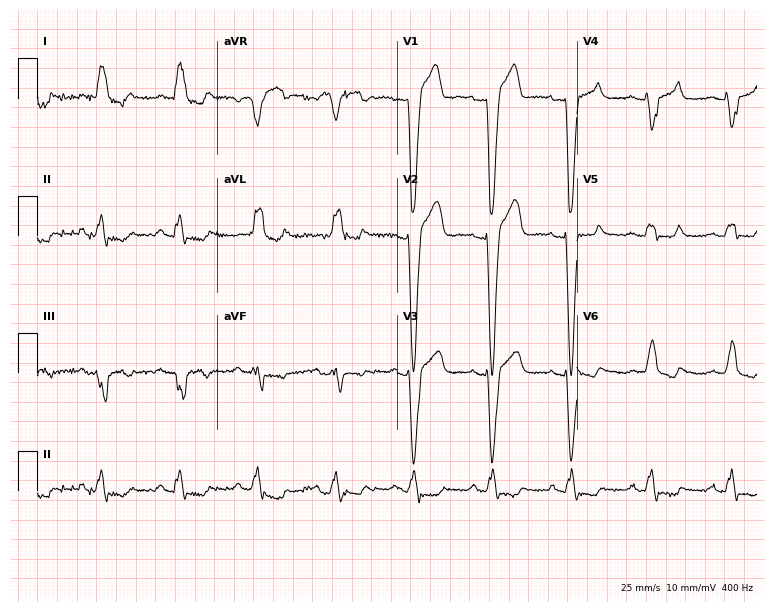
12-lead ECG from a 58-year-old male (7.3-second recording at 400 Hz). Shows left bundle branch block (LBBB).